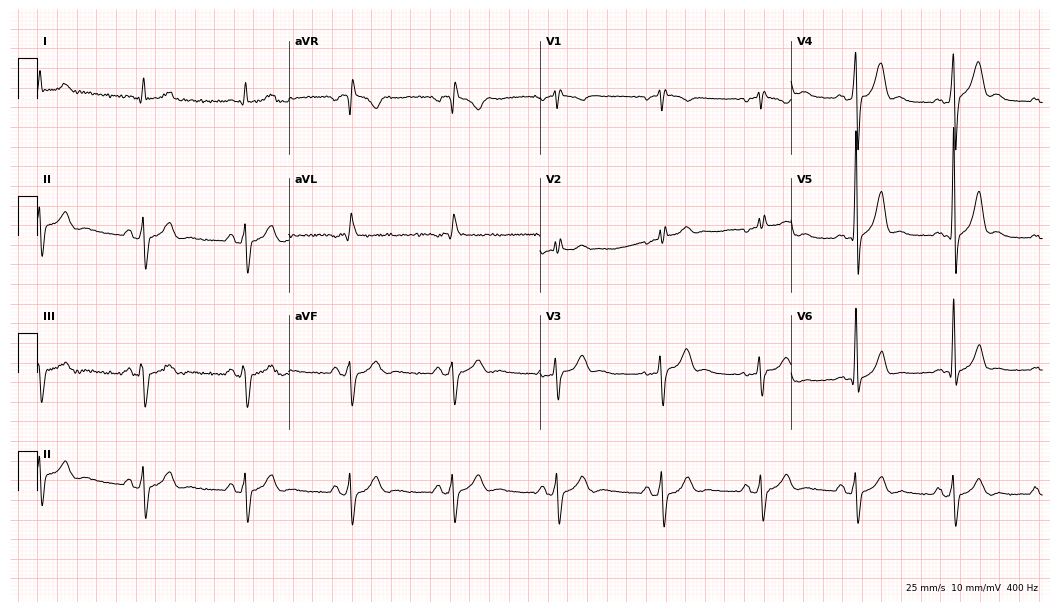
Electrocardiogram, a man, 29 years old. Interpretation includes right bundle branch block (RBBB).